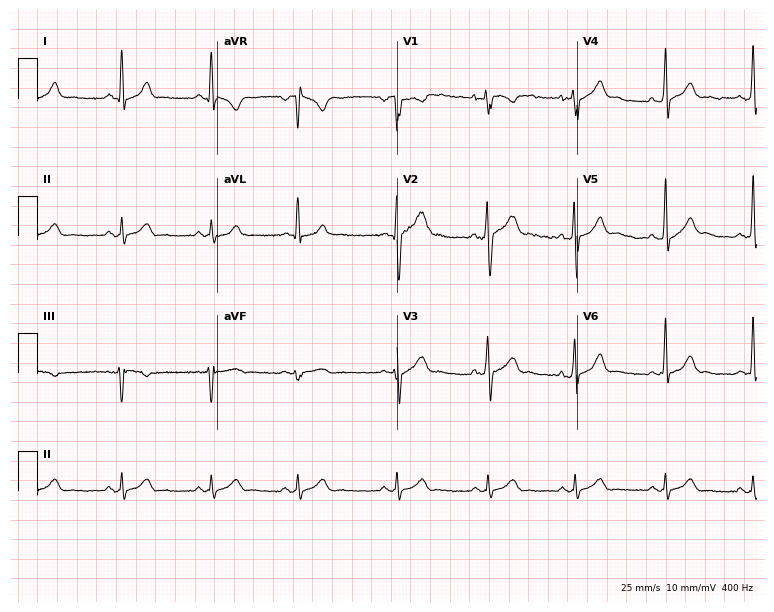
12-lead ECG from a male patient, 38 years old. Recorded interpretation: within normal limits.